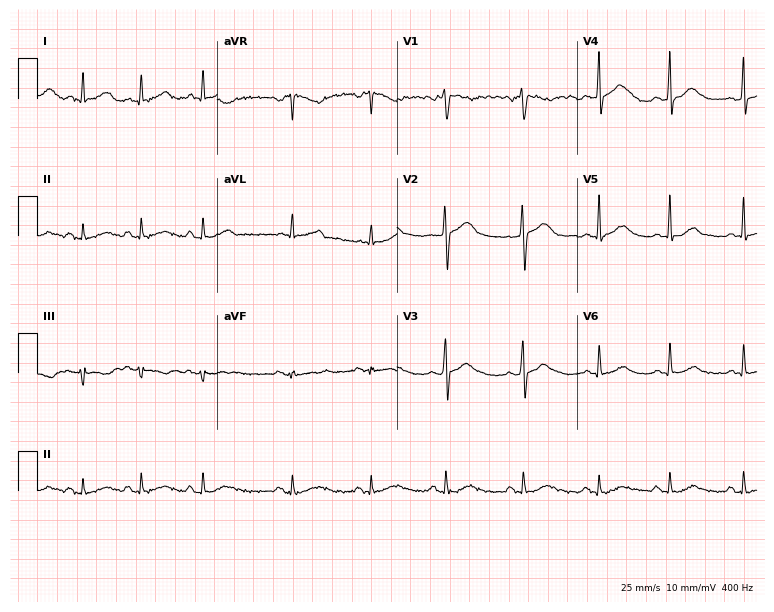
Standard 12-lead ECG recorded from a male patient, 30 years old (7.3-second recording at 400 Hz). None of these six findings is recorded: first-degree AV block, right bundle branch block (RBBB), left bundle branch block (LBBB), sinus bradycardia, atrial fibrillation (AF), sinus tachycardia.